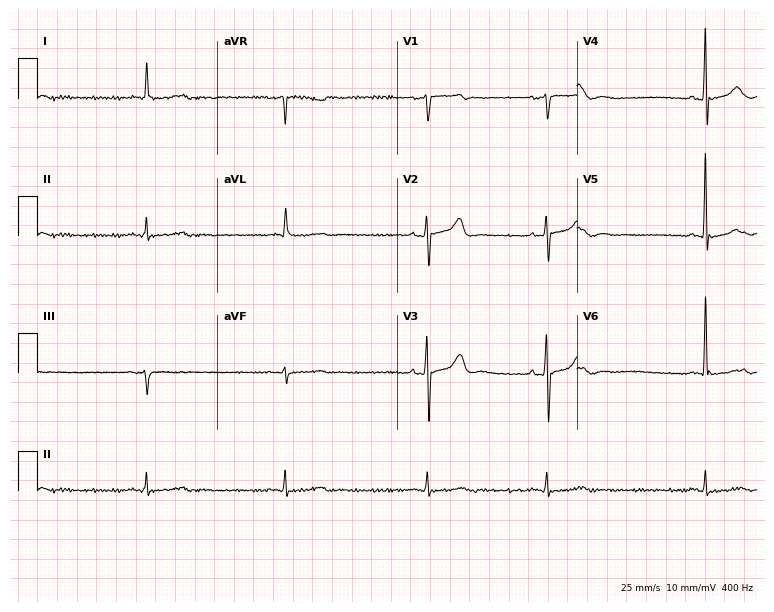
Standard 12-lead ECG recorded from a 79-year-old male. The tracing shows sinus bradycardia (a sinus rate of 50 beats per minute or less).